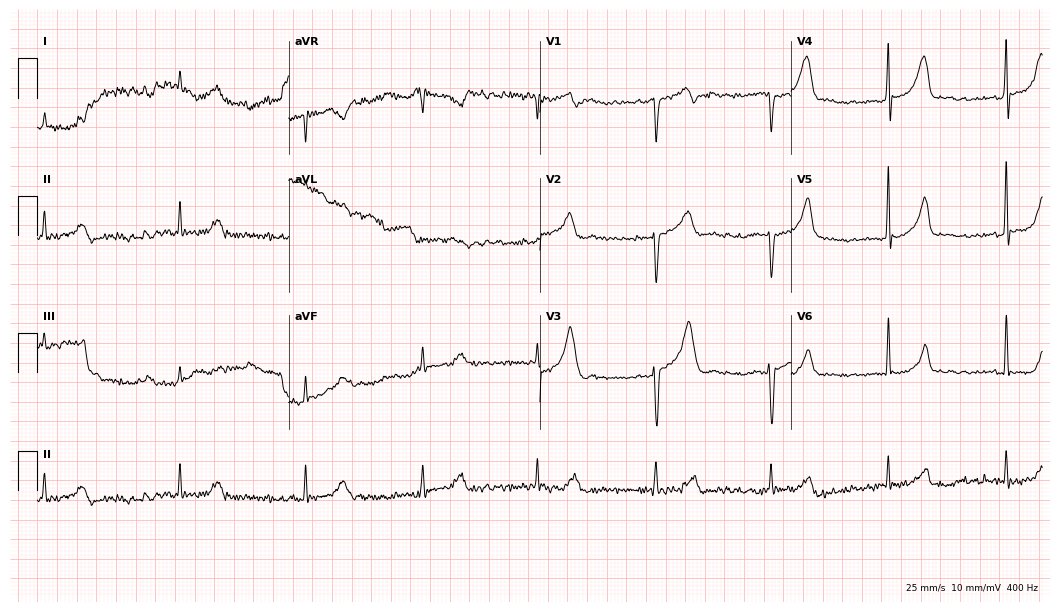
Electrocardiogram (10.2-second recording at 400 Hz), a 60-year-old male. Of the six screened findings (first-degree AV block, right bundle branch block, left bundle branch block, sinus bradycardia, atrial fibrillation, sinus tachycardia), none is recorded.